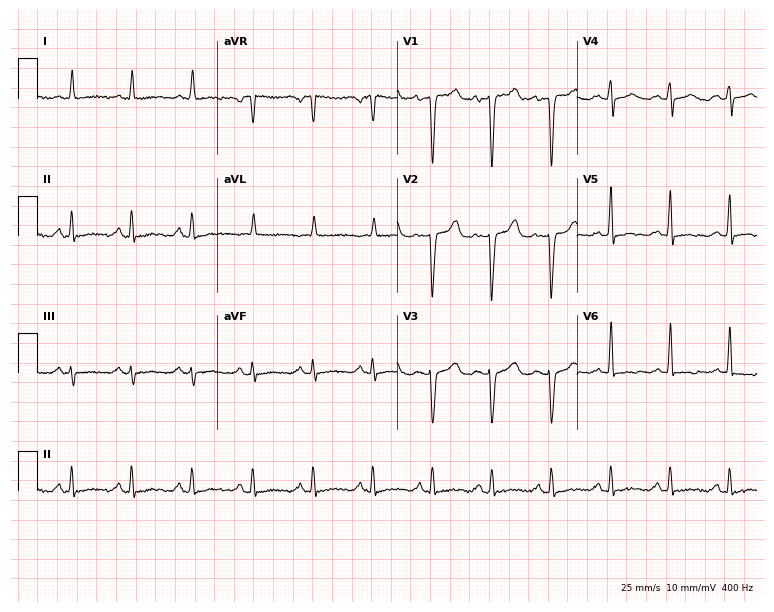
Resting 12-lead electrocardiogram (7.3-second recording at 400 Hz). Patient: a female, 64 years old. None of these six findings is recorded: first-degree AV block, right bundle branch block, left bundle branch block, sinus bradycardia, atrial fibrillation, sinus tachycardia. Other findings, if any, are not listed.